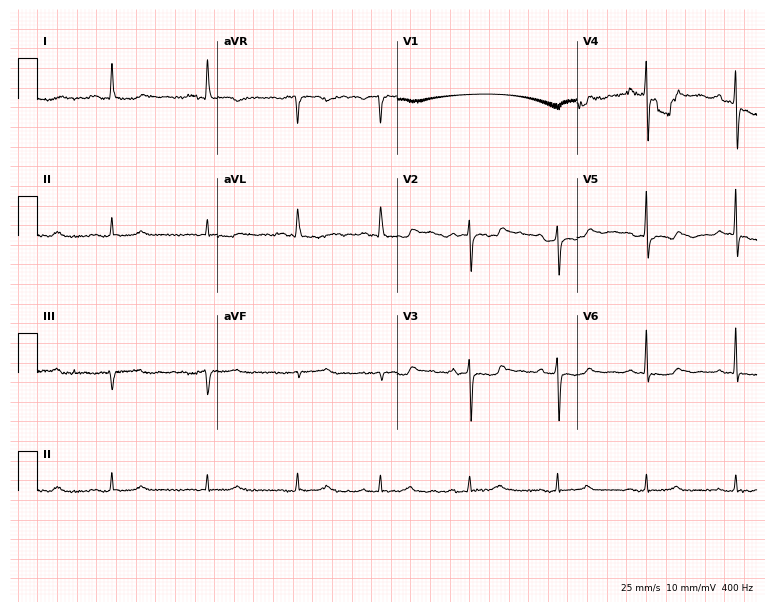
Standard 12-lead ECG recorded from a 79-year-old male (7.3-second recording at 400 Hz). Read as a normal ECG.